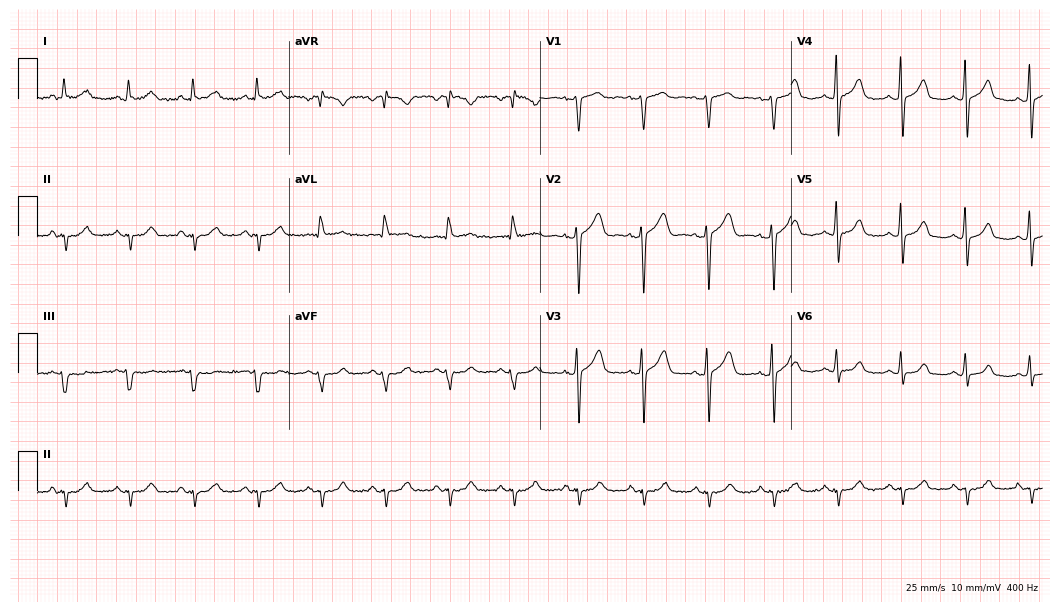
12-lead ECG from a man, 55 years old. No first-degree AV block, right bundle branch block (RBBB), left bundle branch block (LBBB), sinus bradycardia, atrial fibrillation (AF) or sinus tachycardia recorded for this tracing. Other findings, if any, are not listed.